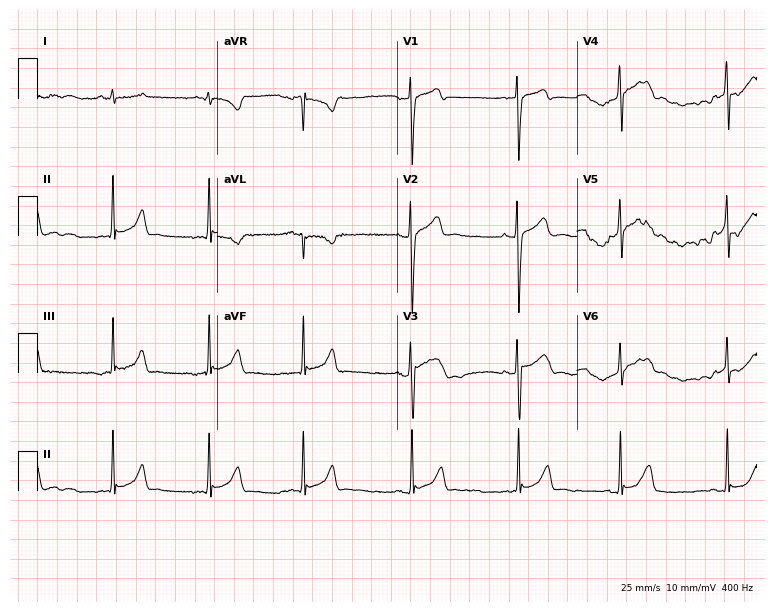
Resting 12-lead electrocardiogram. Patient: a 20-year-old male. Read as a normal ECG.